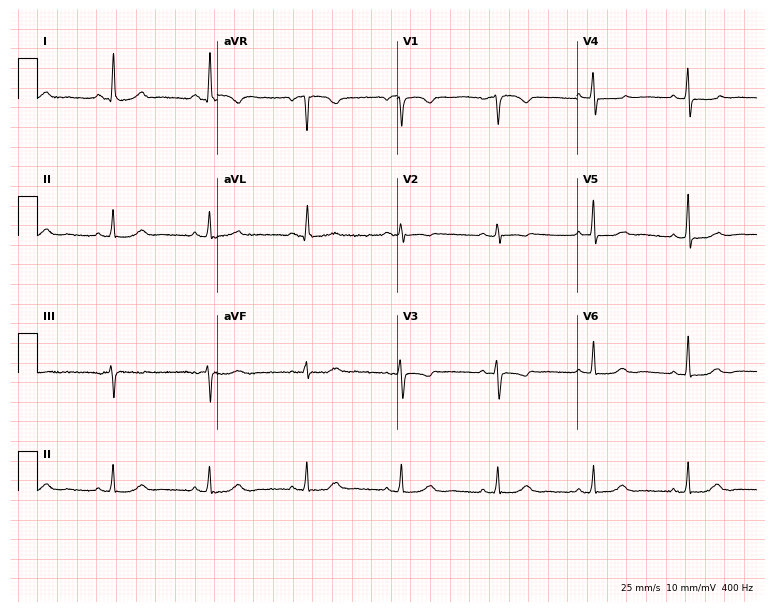
ECG (7.3-second recording at 400 Hz) — a woman, 67 years old. Screened for six findings — first-degree AV block, right bundle branch block, left bundle branch block, sinus bradycardia, atrial fibrillation, sinus tachycardia — none is recorded. Findings outside these six are not listed.